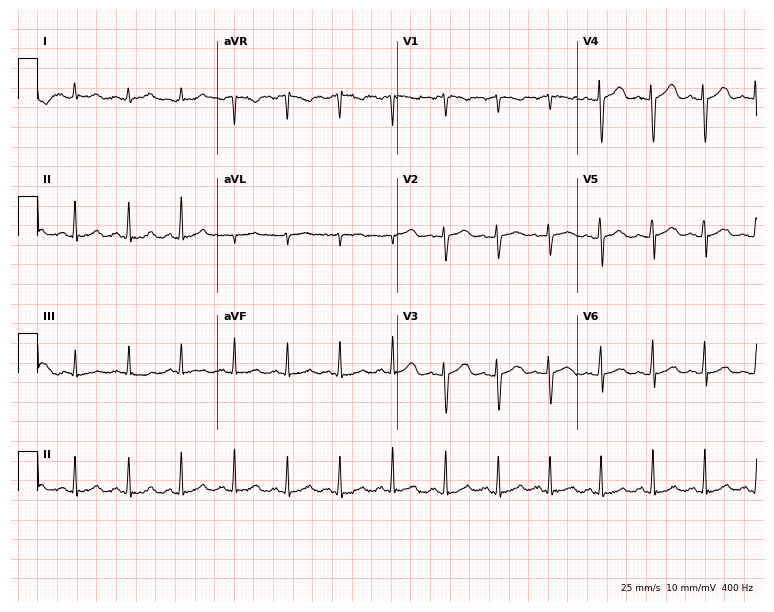
Standard 12-lead ECG recorded from a woman, 20 years old (7.3-second recording at 400 Hz). The tracing shows sinus tachycardia (a sinus rate of 100 beats per minute or more).